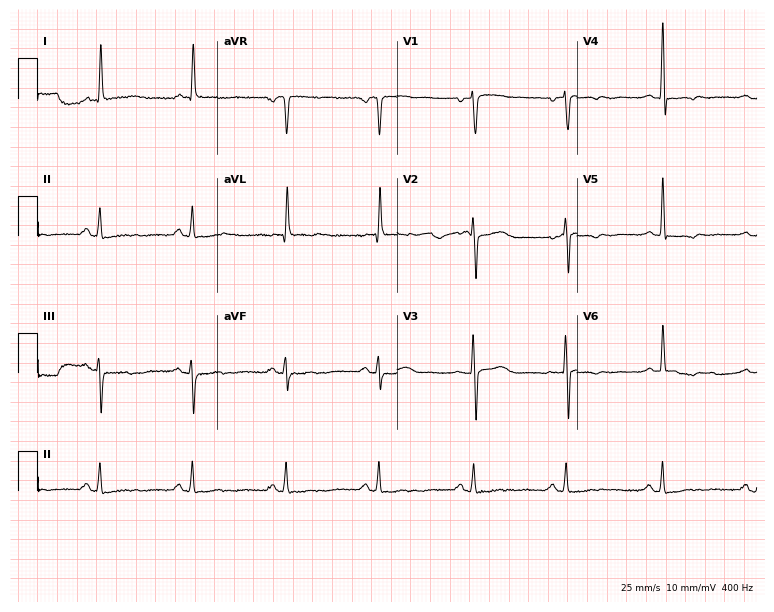
Resting 12-lead electrocardiogram. Patient: a female, 68 years old. None of these six findings is recorded: first-degree AV block, right bundle branch block, left bundle branch block, sinus bradycardia, atrial fibrillation, sinus tachycardia. Findings outside these six are not listed.